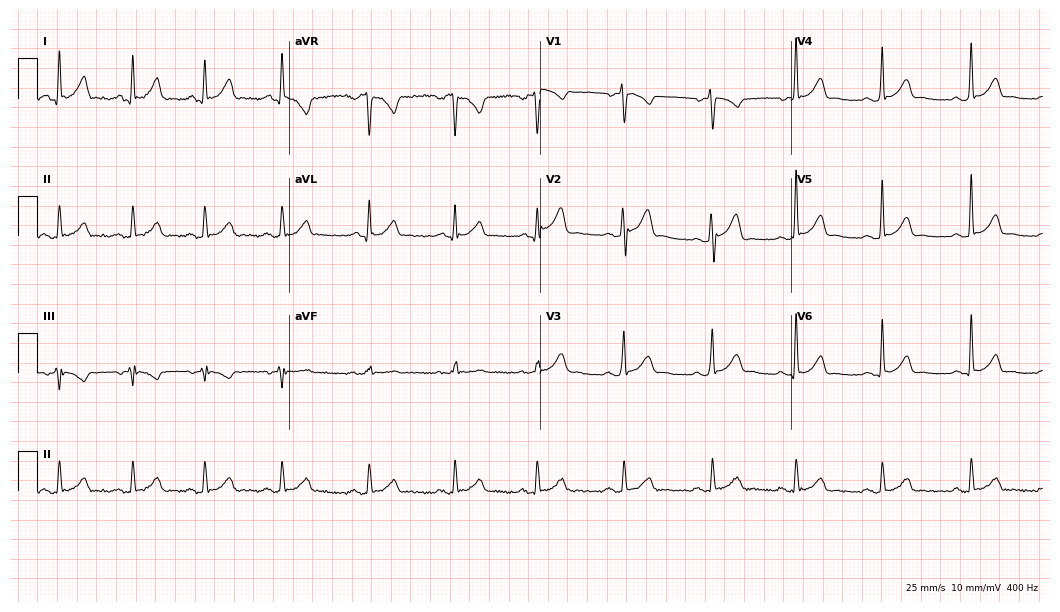
Standard 12-lead ECG recorded from a man, 31 years old. None of these six findings is recorded: first-degree AV block, right bundle branch block, left bundle branch block, sinus bradycardia, atrial fibrillation, sinus tachycardia.